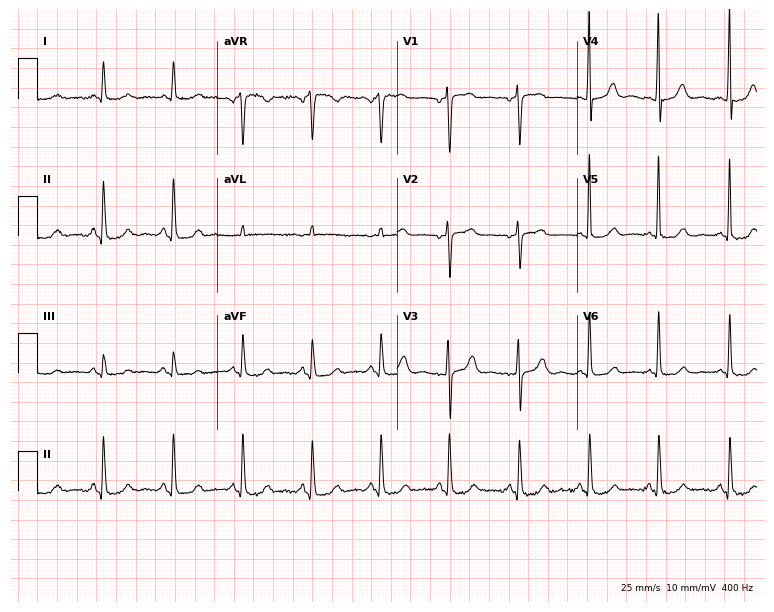
12-lead ECG from a 70-year-old female. No first-degree AV block, right bundle branch block, left bundle branch block, sinus bradycardia, atrial fibrillation or sinus tachycardia recorded for this tracing. Other findings, if any, are not listed.